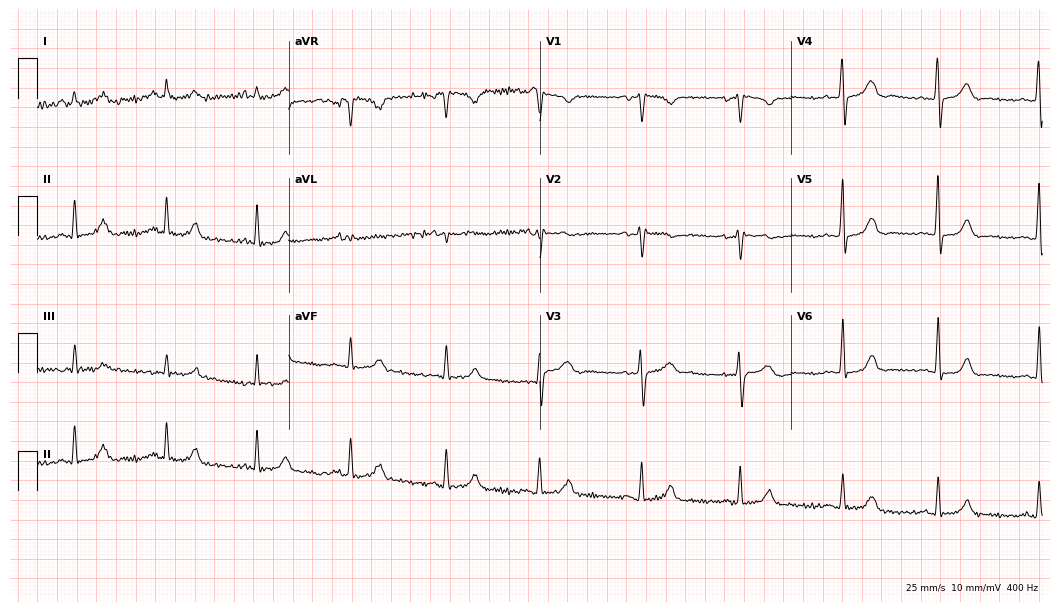
ECG (10.2-second recording at 400 Hz) — a 36-year-old female patient. Labelled as a normal ECG.